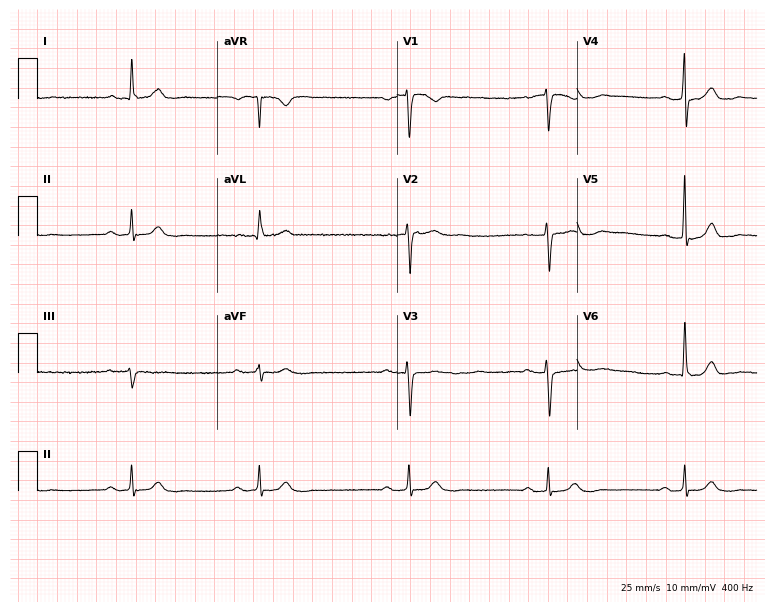
12-lead ECG (7.3-second recording at 400 Hz) from a man, 66 years old. Findings include first-degree AV block, right bundle branch block.